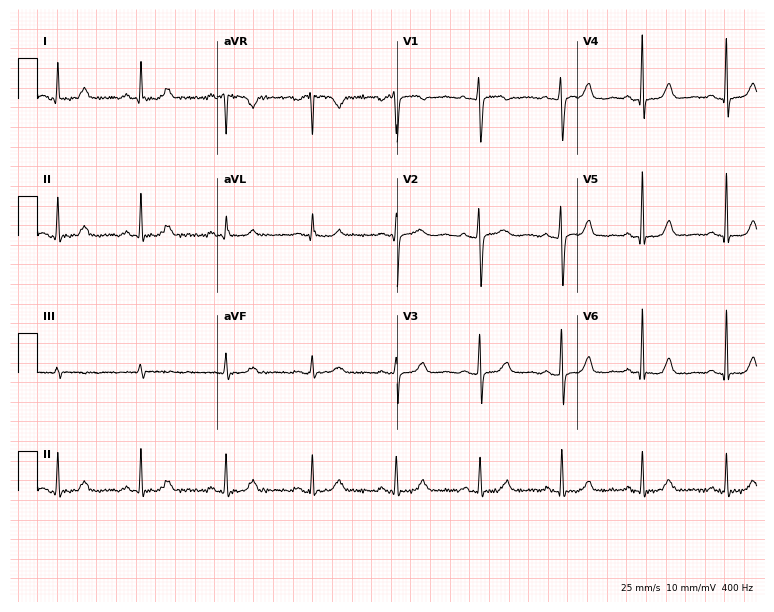
ECG — a female patient, 53 years old. Screened for six findings — first-degree AV block, right bundle branch block (RBBB), left bundle branch block (LBBB), sinus bradycardia, atrial fibrillation (AF), sinus tachycardia — none is recorded.